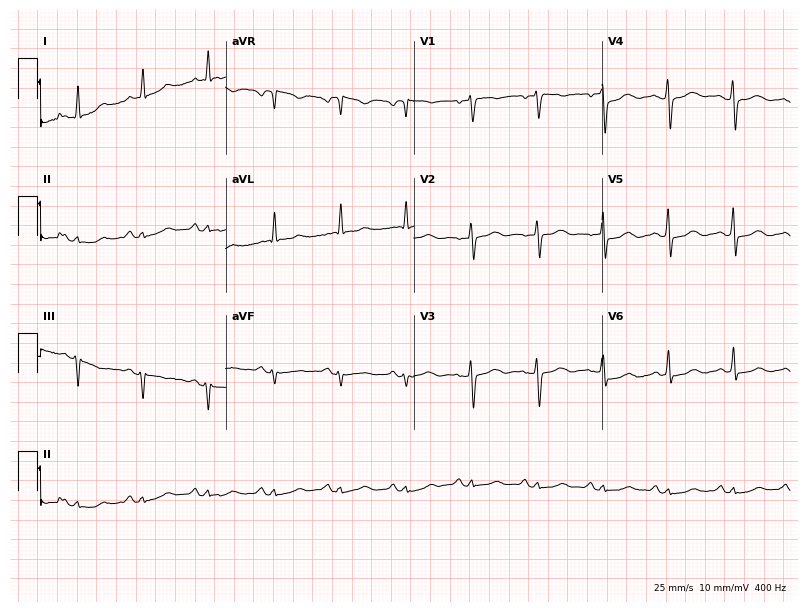
Resting 12-lead electrocardiogram (7.7-second recording at 400 Hz). Patient: a female, 59 years old. None of these six findings is recorded: first-degree AV block, right bundle branch block, left bundle branch block, sinus bradycardia, atrial fibrillation, sinus tachycardia. Only these six findings were labelled.